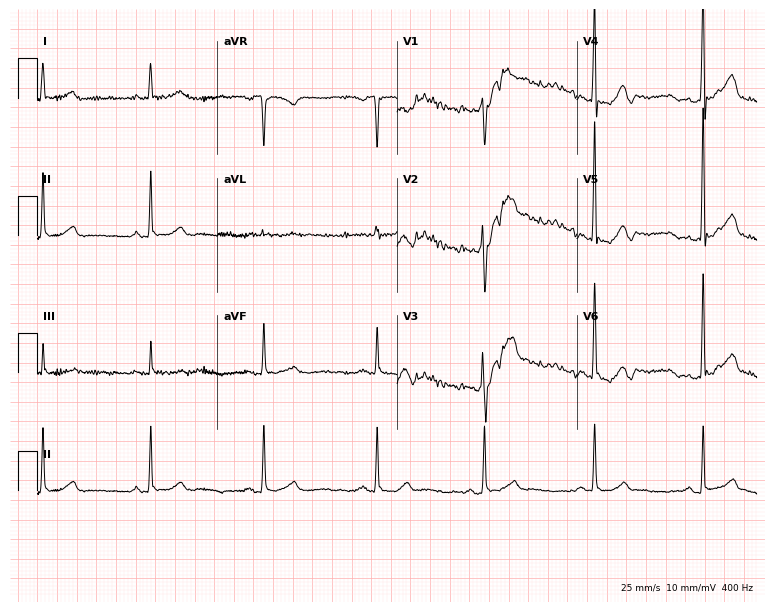
Standard 12-lead ECG recorded from a 71-year-old woman (7.3-second recording at 400 Hz). None of these six findings is recorded: first-degree AV block, right bundle branch block, left bundle branch block, sinus bradycardia, atrial fibrillation, sinus tachycardia. Only these six findings were labelled.